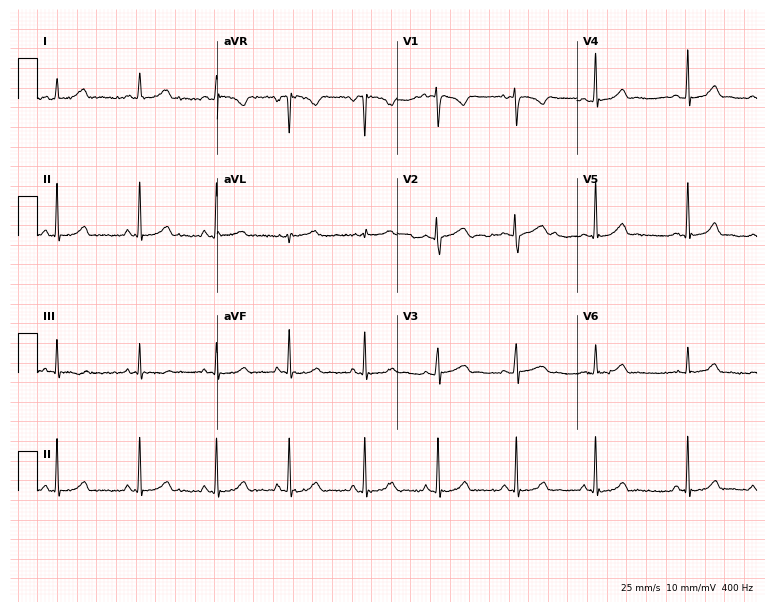
ECG — a woman, 22 years old. Labelled as a normal ECG.